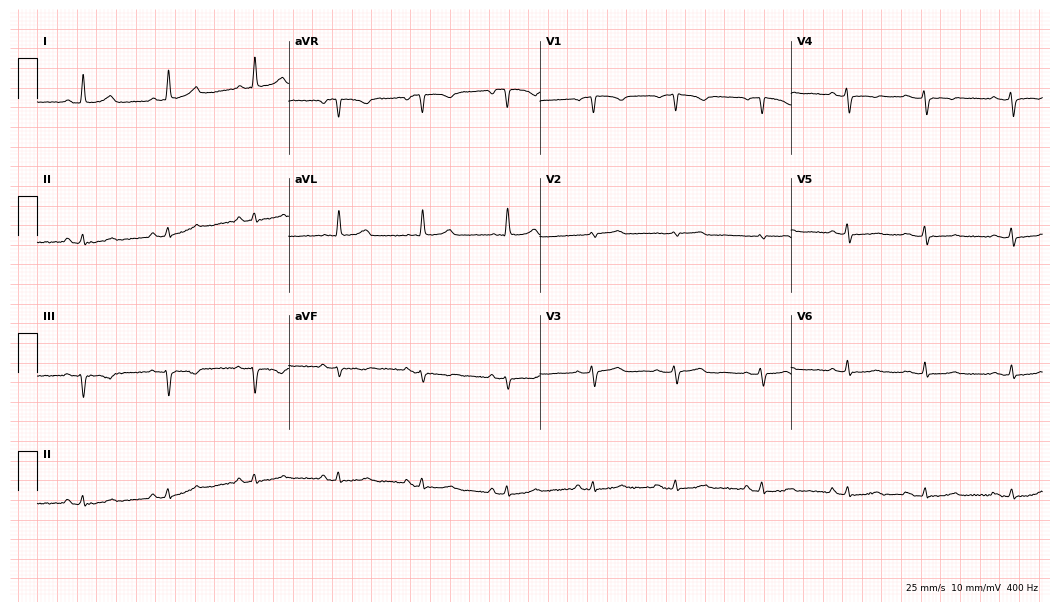
Resting 12-lead electrocardiogram (10.2-second recording at 400 Hz). Patient: a woman, 78 years old. None of these six findings is recorded: first-degree AV block, right bundle branch block, left bundle branch block, sinus bradycardia, atrial fibrillation, sinus tachycardia. Other findings, if any, are not listed.